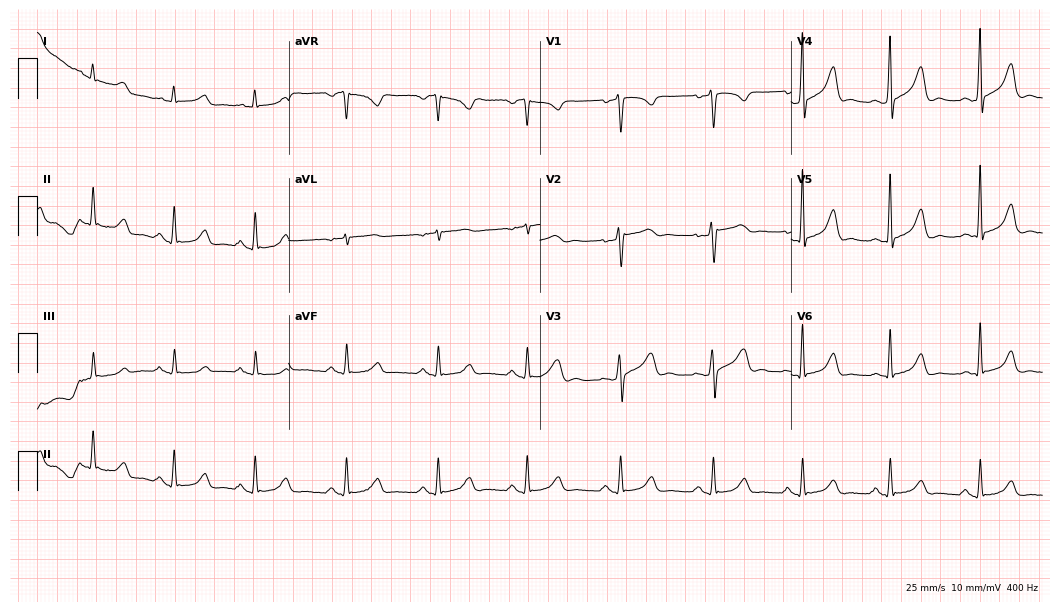
Resting 12-lead electrocardiogram. Patient: a 40-year-old female. None of these six findings is recorded: first-degree AV block, right bundle branch block, left bundle branch block, sinus bradycardia, atrial fibrillation, sinus tachycardia.